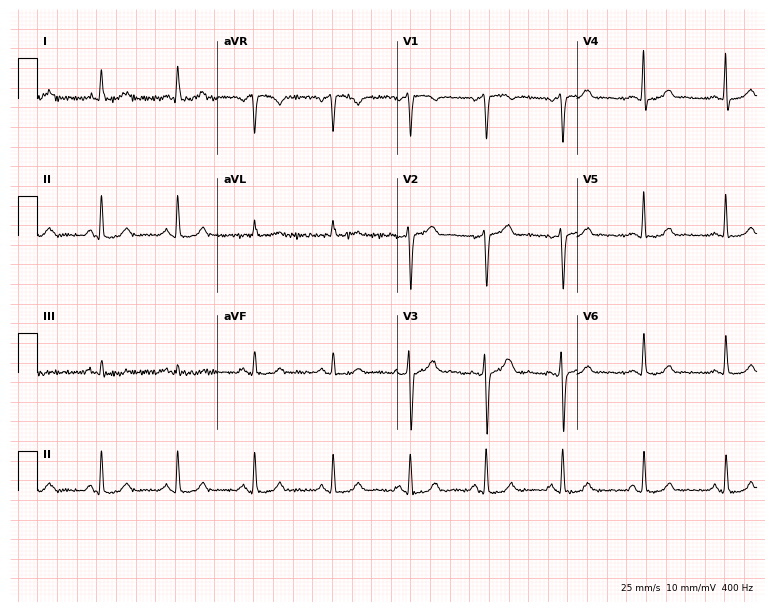
Standard 12-lead ECG recorded from a woman, 40 years old. Read as a normal ECG.